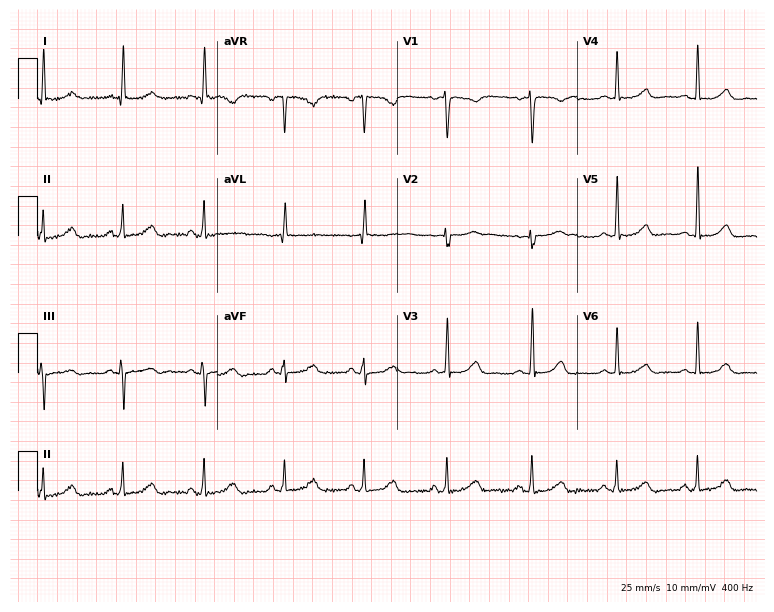
Electrocardiogram, a woman, 57 years old. Of the six screened findings (first-degree AV block, right bundle branch block, left bundle branch block, sinus bradycardia, atrial fibrillation, sinus tachycardia), none is recorded. Only these six findings were labelled.